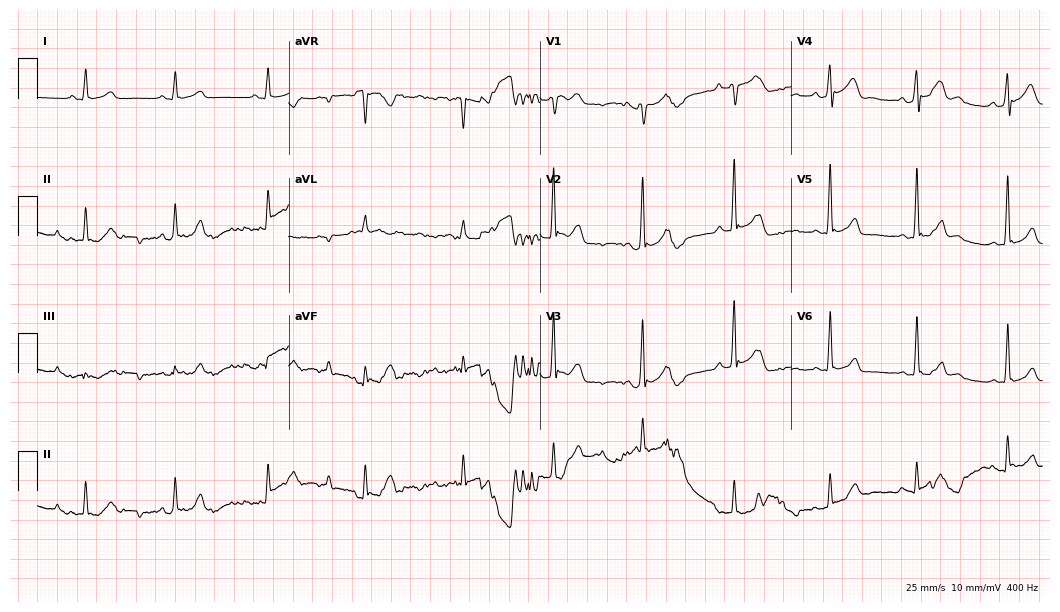
Electrocardiogram (10.2-second recording at 400 Hz), a male, 21 years old. Of the six screened findings (first-degree AV block, right bundle branch block, left bundle branch block, sinus bradycardia, atrial fibrillation, sinus tachycardia), none is recorded.